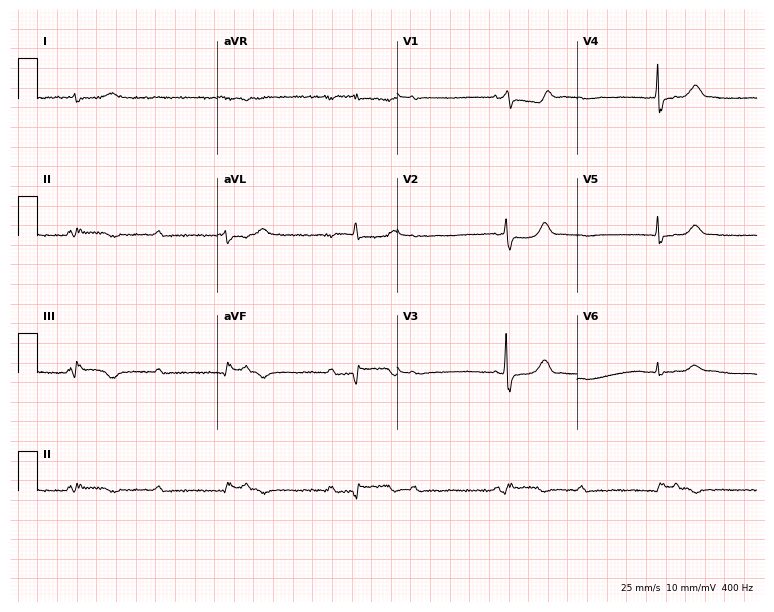
Standard 12-lead ECG recorded from a 68-year-old man (7.3-second recording at 400 Hz). None of these six findings is recorded: first-degree AV block, right bundle branch block, left bundle branch block, sinus bradycardia, atrial fibrillation, sinus tachycardia. Other findings, if any, are not listed.